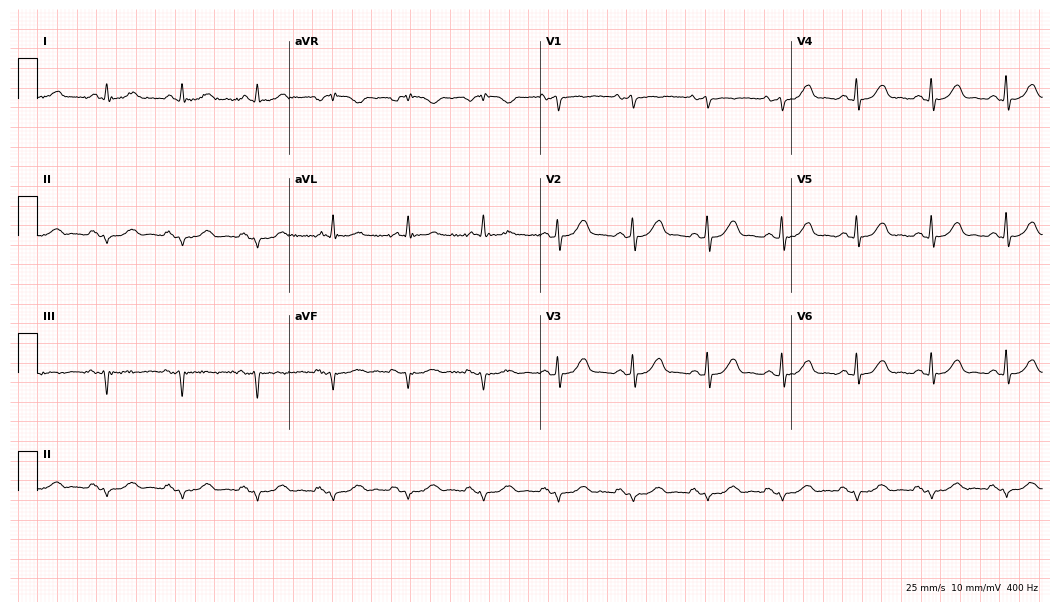
12-lead ECG from a 72-year-old male patient. No first-degree AV block, right bundle branch block, left bundle branch block, sinus bradycardia, atrial fibrillation or sinus tachycardia recorded for this tracing. Other findings, if any, are not listed.